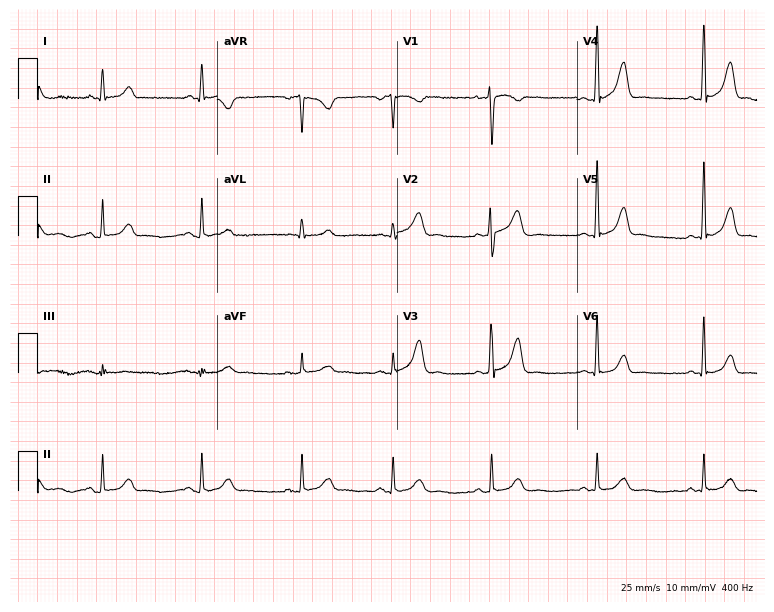
12-lead ECG from a female patient, 26 years old (7.3-second recording at 400 Hz). No first-degree AV block, right bundle branch block, left bundle branch block, sinus bradycardia, atrial fibrillation or sinus tachycardia recorded for this tracing.